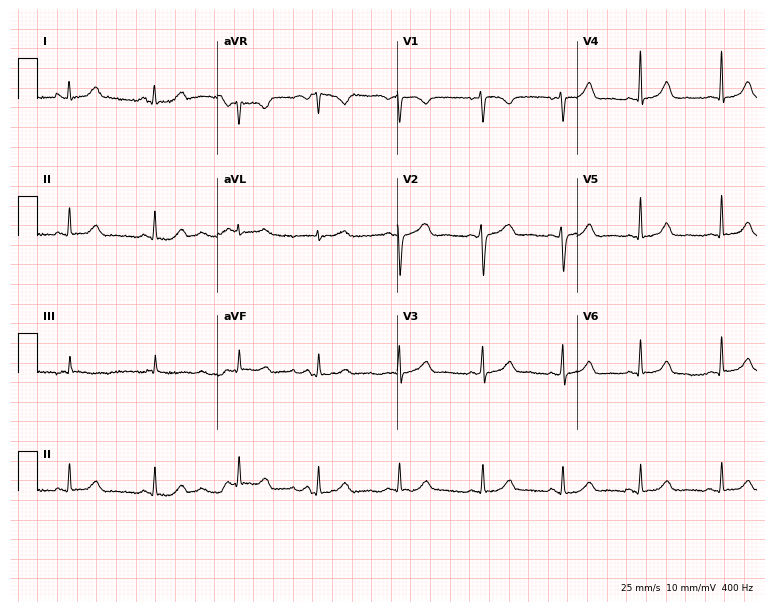
ECG (7.3-second recording at 400 Hz) — a female patient, 35 years old. Labelled as a normal ECG.